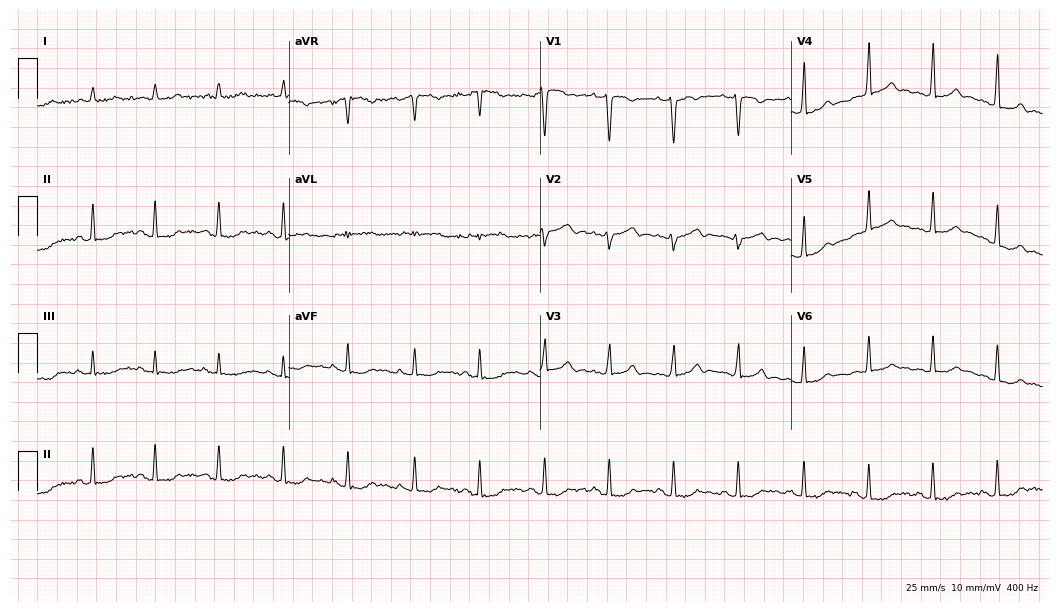
Standard 12-lead ECG recorded from a 28-year-old female patient. None of these six findings is recorded: first-degree AV block, right bundle branch block, left bundle branch block, sinus bradycardia, atrial fibrillation, sinus tachycardia. Only these six findings were labelled.